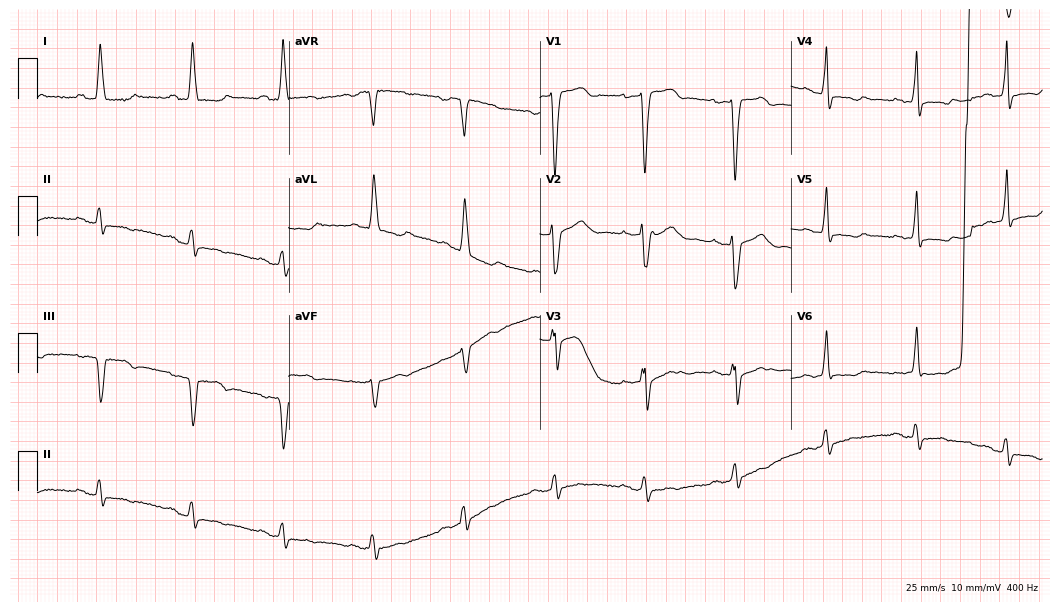
12-lead ECG from a female patient, 81 years old. No first-degree AV block, right bundle branch block (RBBB), left bundle branch block (LBBB), sinus bradycardia, atrial fibrillation (AF) or sinus tachycardia recorded for this tracing.